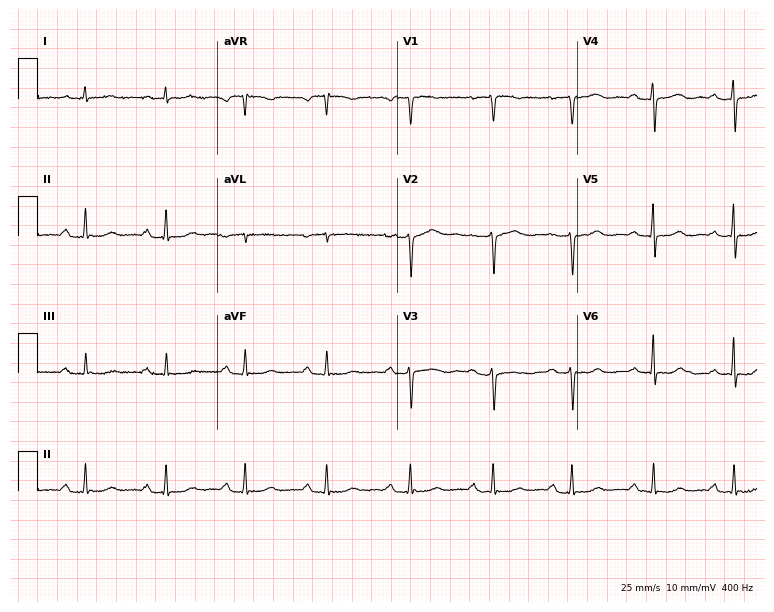
12-lead ECG from a 53-year-old female. Screened for six findings — first-degree AV block, right bundle branch block (RBBB), left bundle branch block (LBBB), sinus bradycardia, atrial fibrillation (AF), sinus tachycardia — none is recorded. Other findings, if any, are not listed.